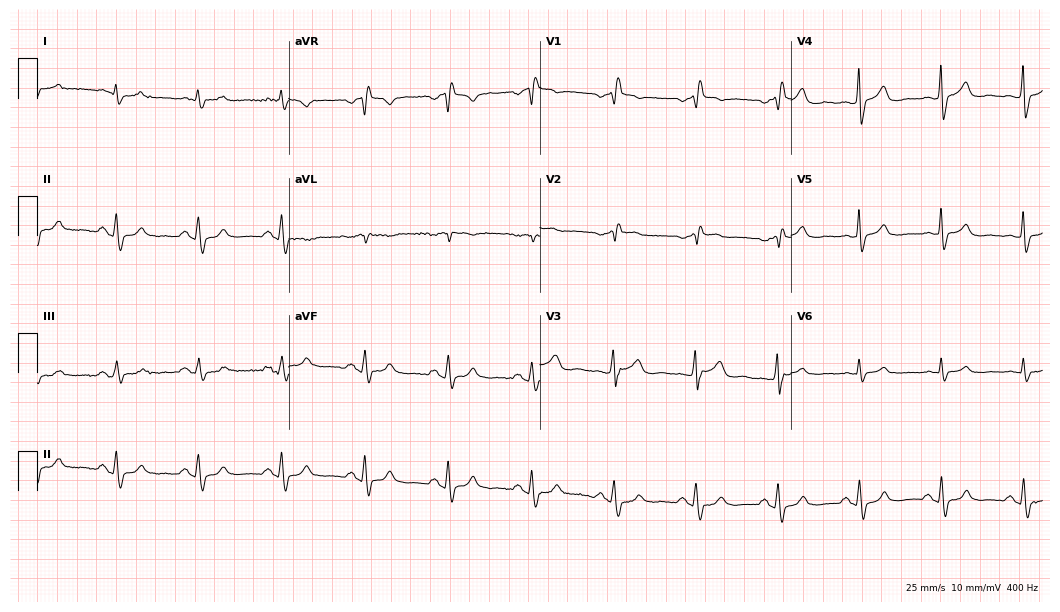
12-lead ECG (10.2-second recording at 400 Hz) from a 59-year-old male patient. Findings include right bundle branch block.